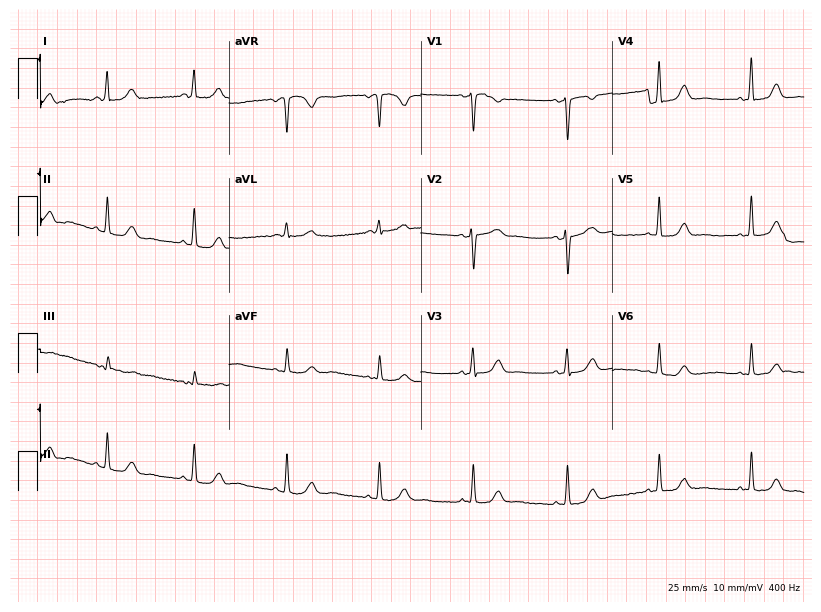
ECG — a female patient, 48 years old. Labelled as a normal ECG.